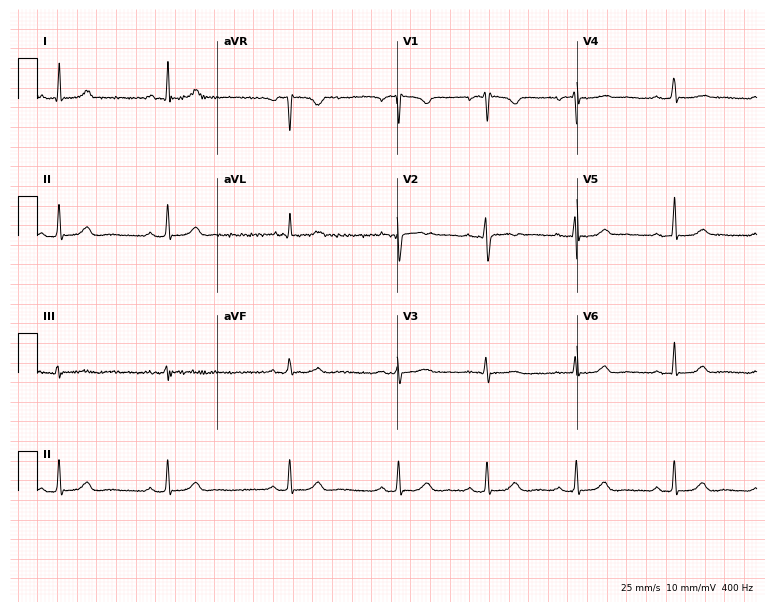
ECG — a female patient, 31 years old. Labelled as a normal ECG.